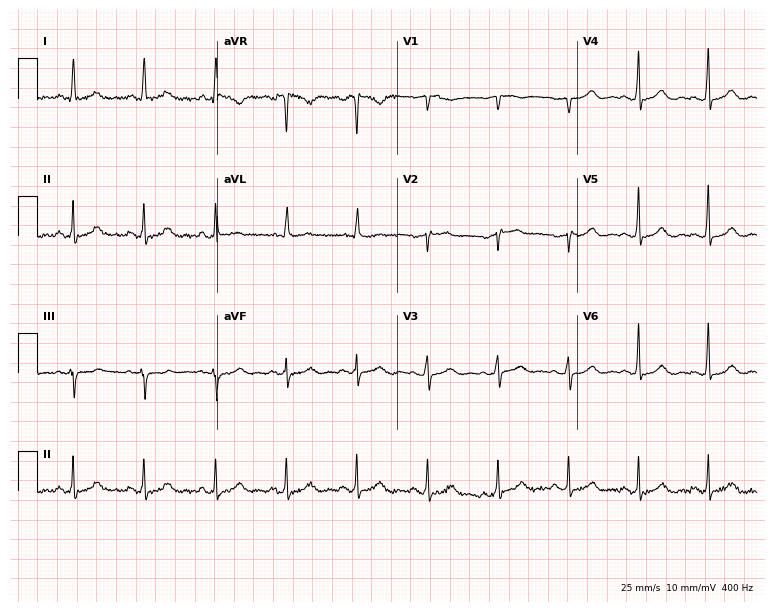
12-lead ECG from a woman, 55 years old. Screened for six findings — first-degree AV block, right bundle branch block, left bundle branch block, sinus bradycardia, atrial fibrillation, sinus tachycardia — none is recorded. Findings outside these six are not listed.